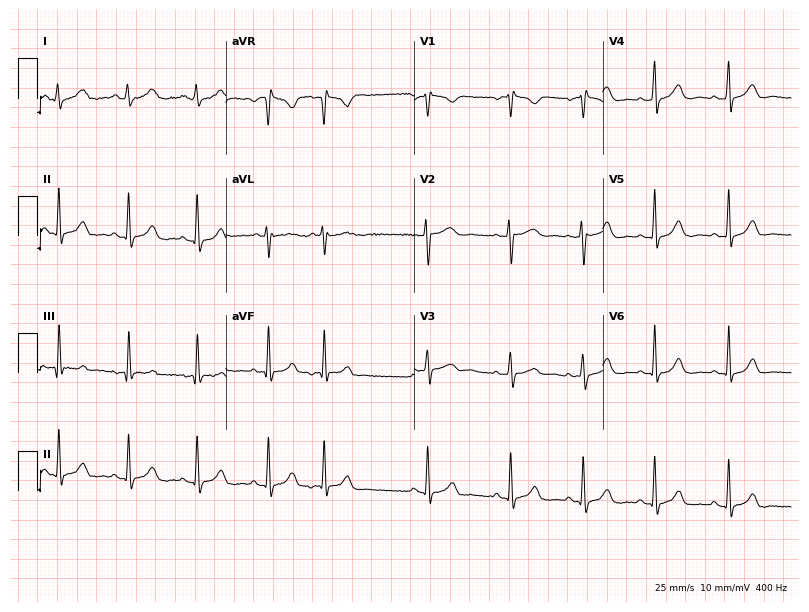
Electrocardiogram, a female patient, 24 years old. Of the six screened findings (first-degree AV block, right bundle branch block, left bundle branch block, sinus bradycardia, atrial fibrillation, sinus tachycardia), none is recorded.